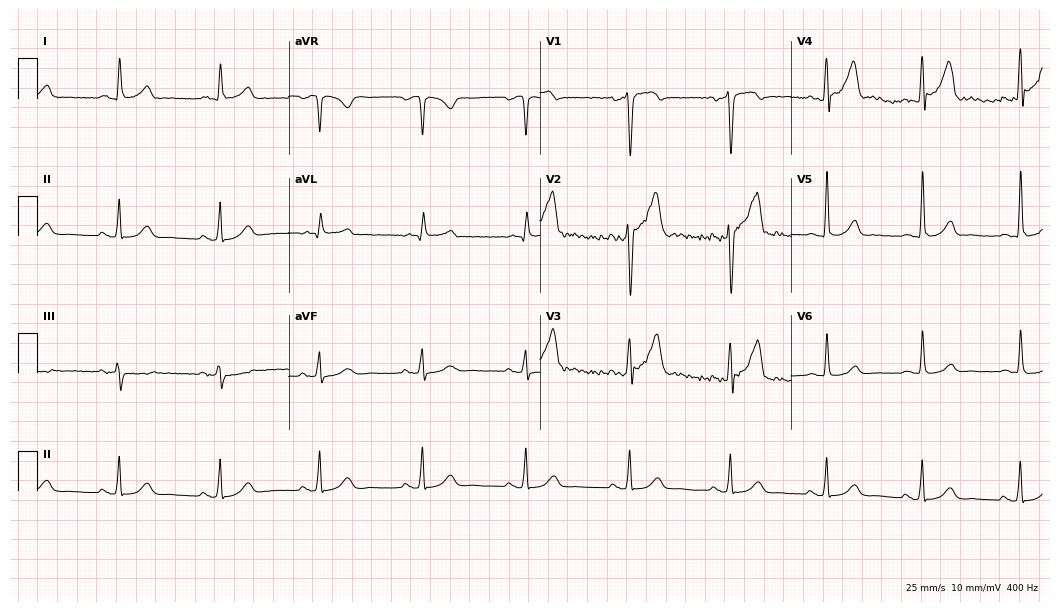
12-lead ECG from a 51-year-old male patient. Recorded interpretation: within normal limits.